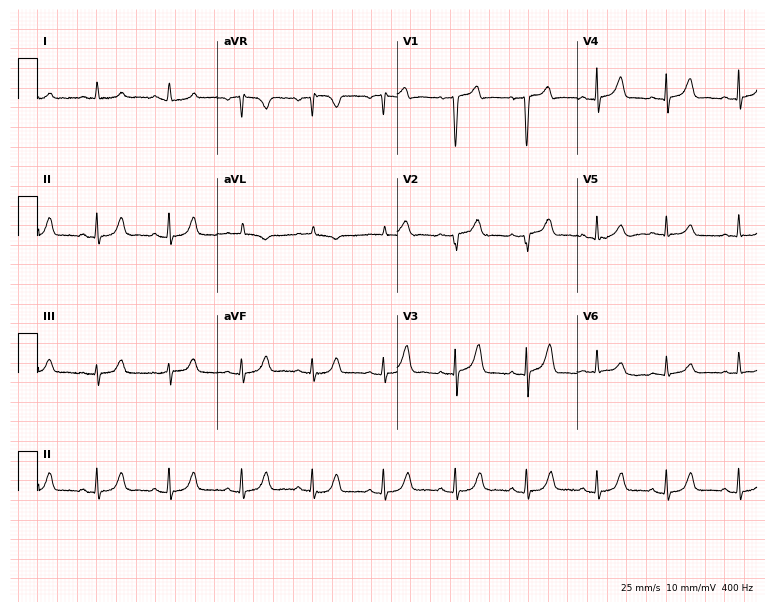
12-lead ECG (7.3-second recording at 400 Hz) from an 81-year-old male. Screened for six findings — first-degree AV block, right bundle branch block, left bundle branch block, sinus bradycardia, atrial fibrillation, sinus tachycardia — none is recorded.